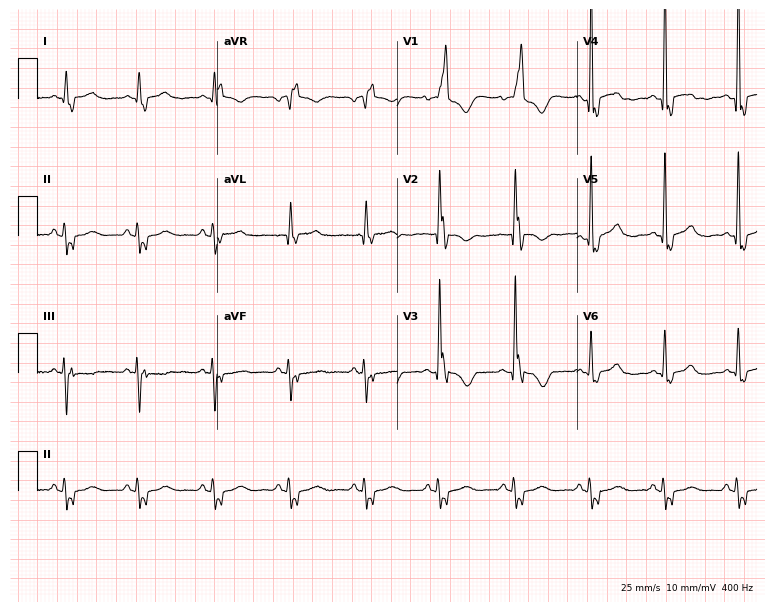
Electrocardiogram (7.3-second recording at 400 Hz), a 74-year-old male. Interpretation includes right bundle branch block.